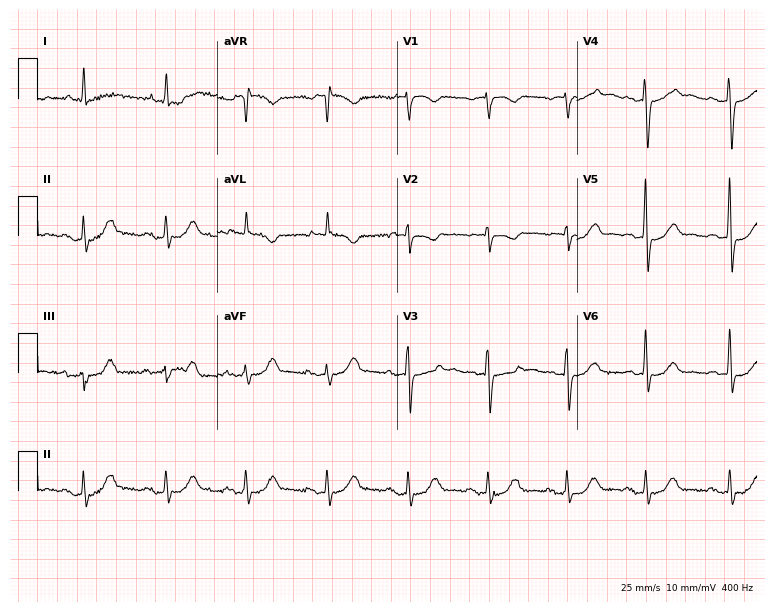
Standard 12-lead ECG recorded from an 82-year-old male (7.3-second recording at 400 Hz). The tracing shows first-degree AV block.